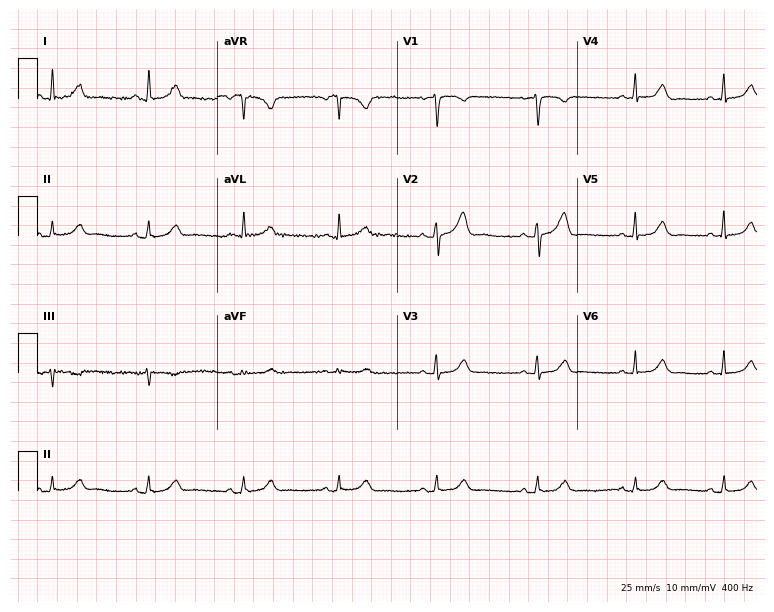
12-lead ECG from a female, 37 years old (7.3-second recording at 400 Hz). Recorded interpretation: within normal limits.